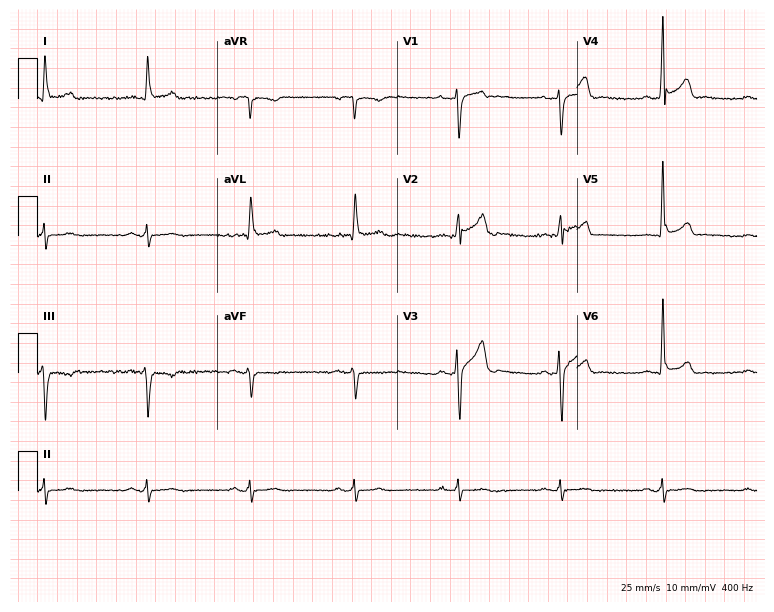
Standard 12-lead ECG recorded from a 37-year-old man. Read as a normal ECG.